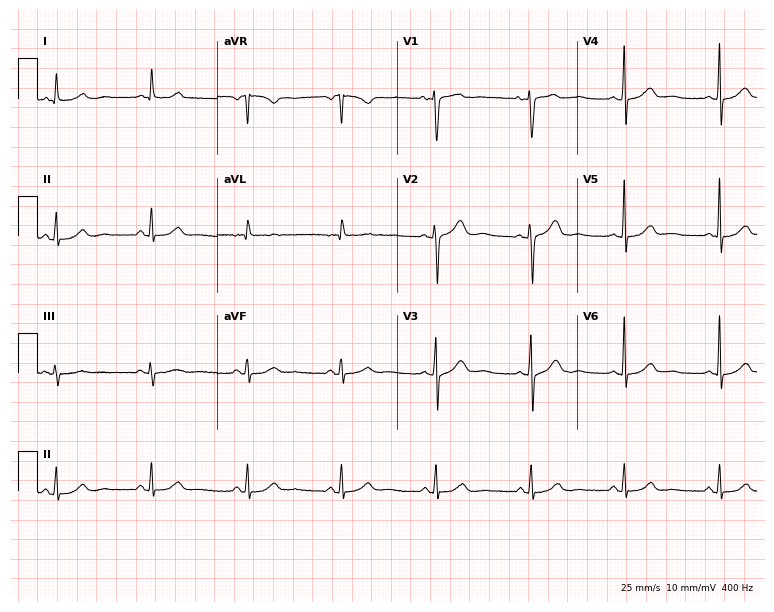
12-lead ECG from a 47-year-old female patient (7.3-second recording at 400 Hz). No first-degree AV block, right bundle branch block (RBBB), left bundle branch block (LBBB), sinus bradycardia, atrial fibrillation (AF) or sinus tachycardia recorded for this tracing.